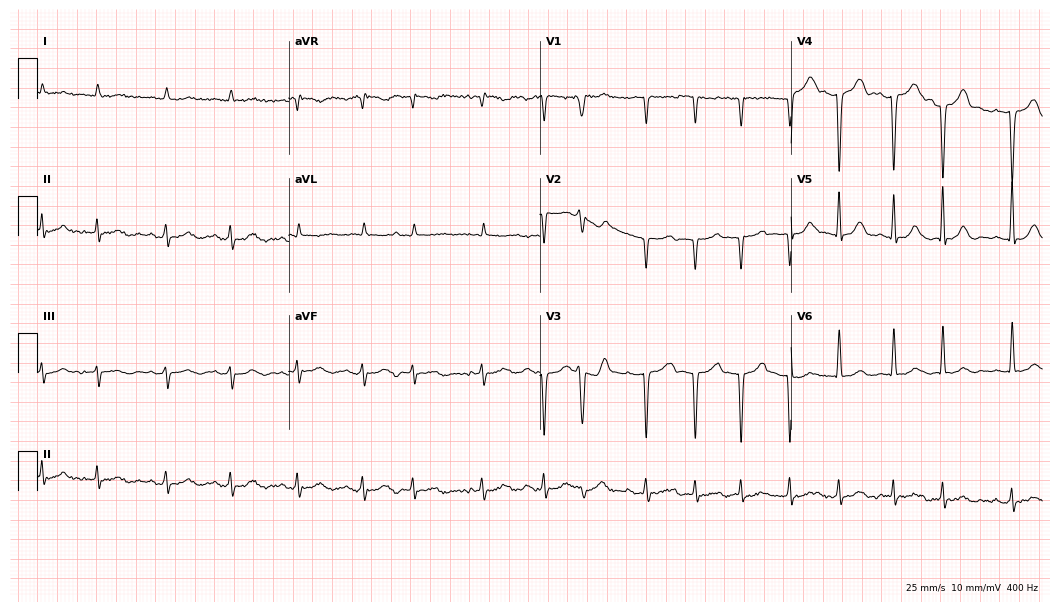
12-lead ECG from a male, 82 years old. Screened for six findings — first-degree AV block, right bundle branch block, left bundle branch block, sinus bradycardia, atrial fibrillation, sinus tachycardia — none is recorded.